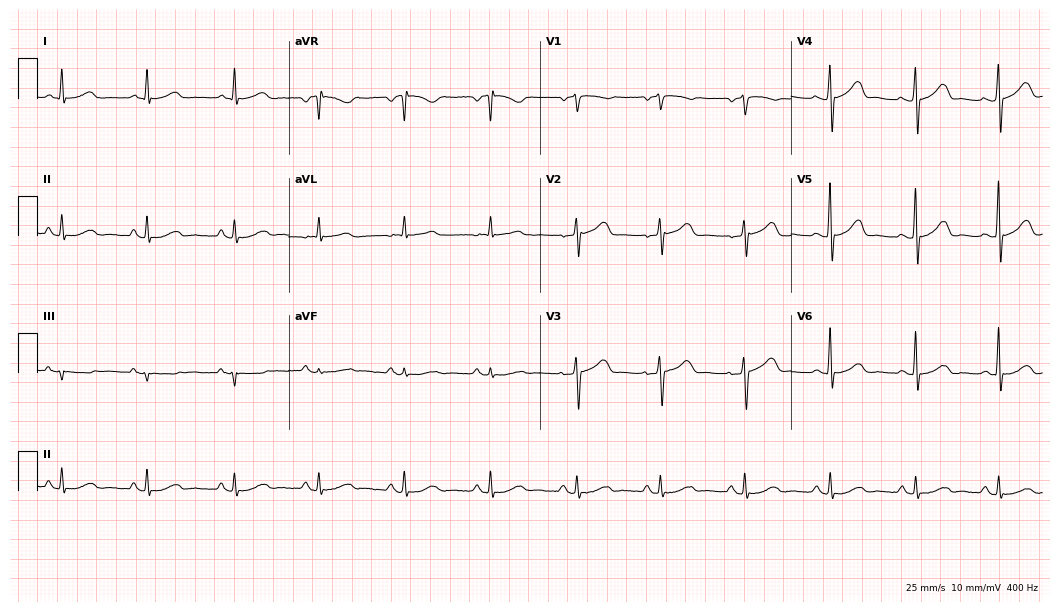
Standard 12-lead ECG recorded from a 67-year-old female patient. Read as a normal ECG.